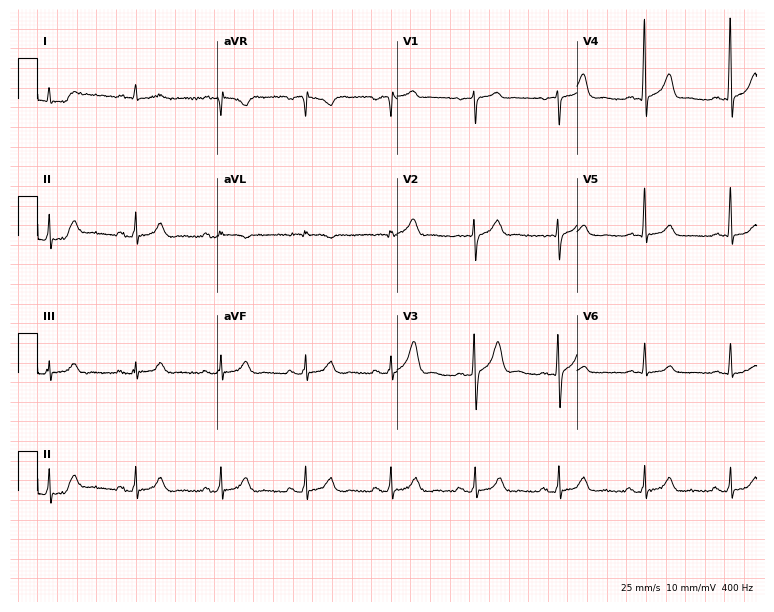
Standard 12-lead ECG recorded from a 73-year-old male. None of these six findings is recorded: first-degree AV block, right bundle branch block, left bundle branch block, sinus bradycardia, atrial fibrillation, sinus tachycardia.